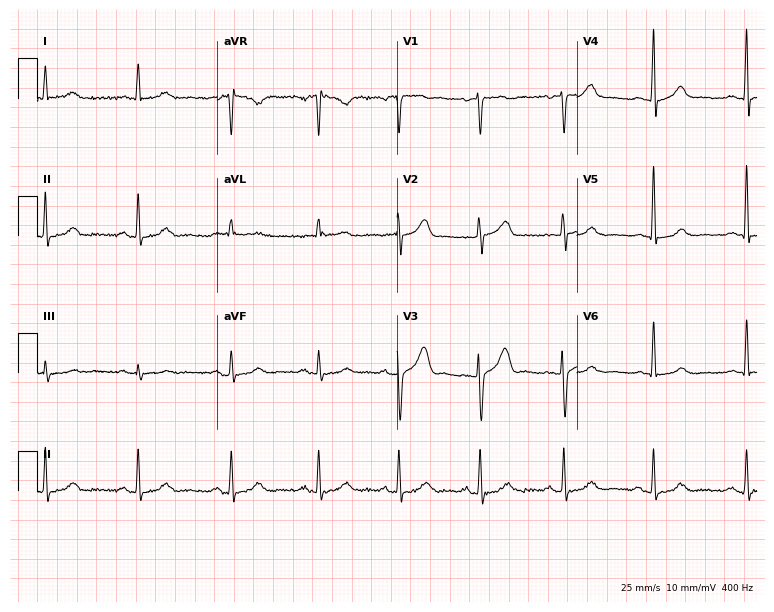
12-lead ECG from a 54-year-old male (7.3-second recording at 400 Hz). Recorded interpretation: within normal limits.